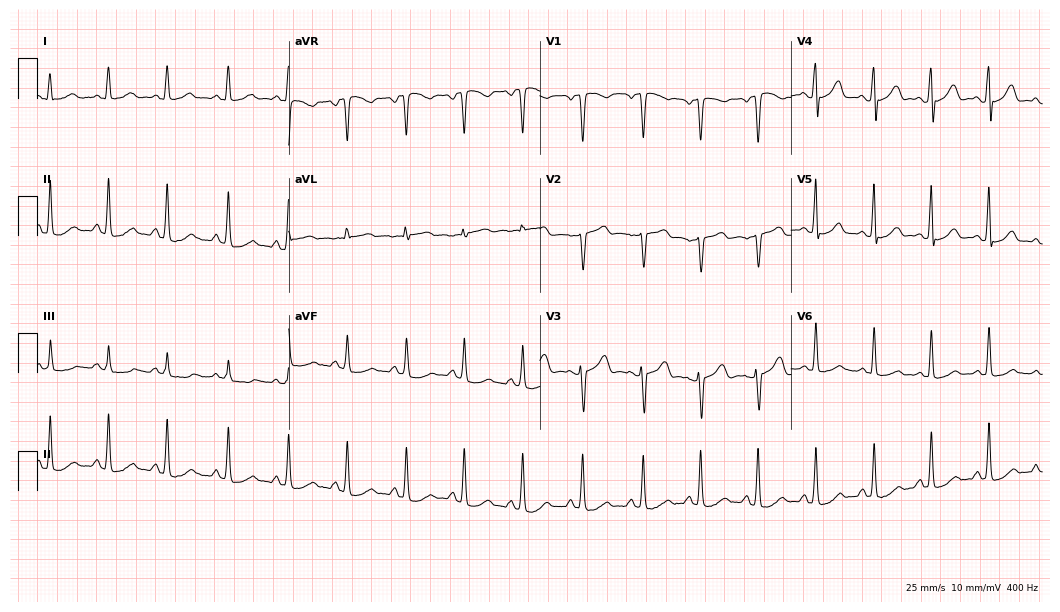
12-lead ECG (10.2-second recording at 400 Hz) from a woman, 41 years old. Findings include sinus tachycardia (a sinus rate of 100 beats per minute or more).